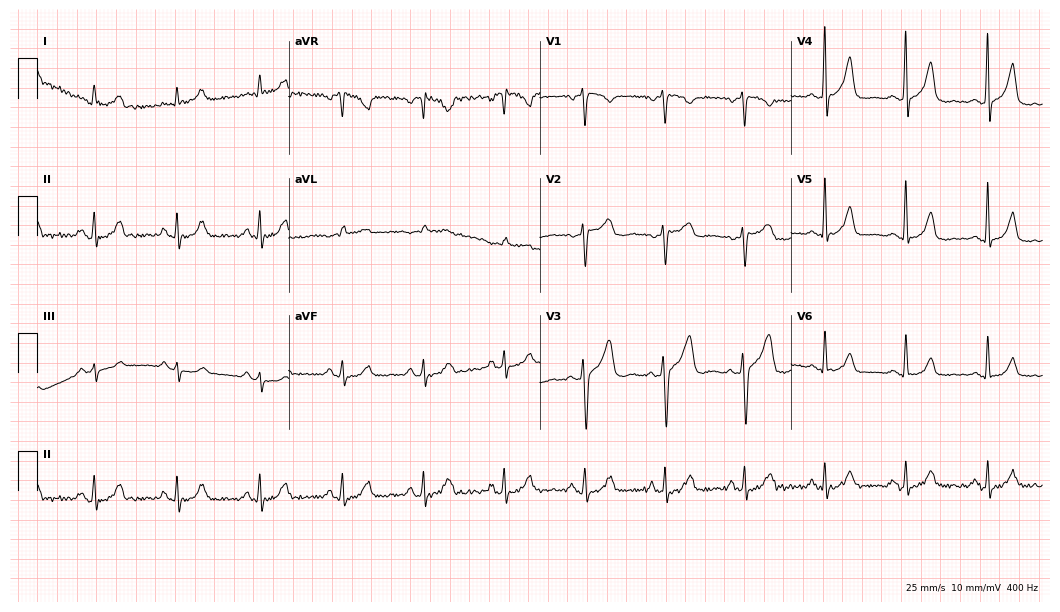
12-lead ECG from a male patient, 67 years old (10.2-second recording at 400 Hz). Recorded interpretation: within normal limits.